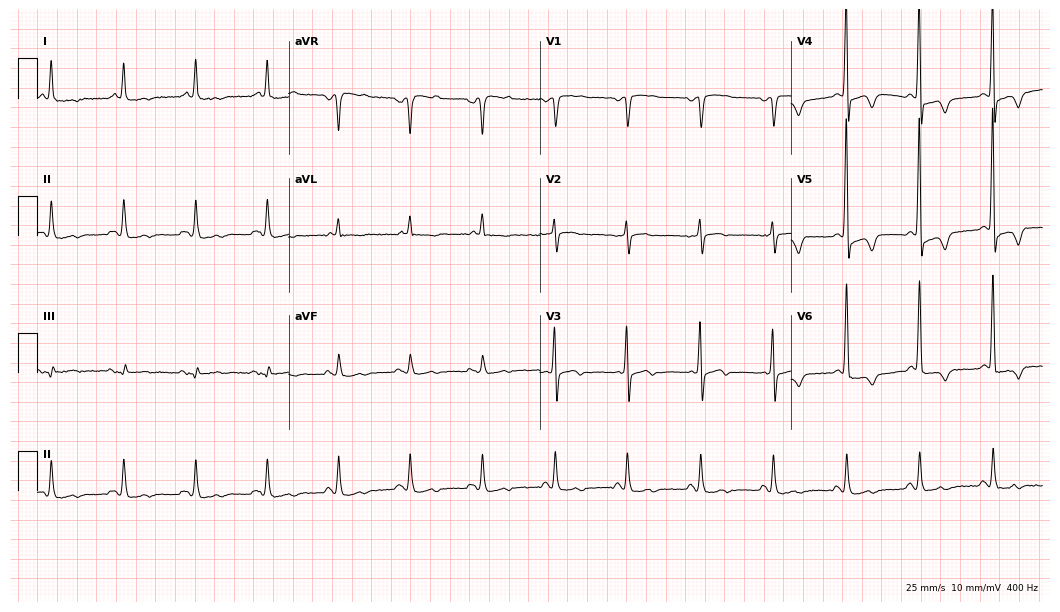
12-lead ECG (10.2-second recording at 400 Hz) from a 78-year-old male. Screened for six findings — first-degree AV block, right bundle branch block, left bundle branch block, sinus bradycardia, atrial fibrillation, sinus tachycardia — none is recorded. Other findings, if any, are not listed.